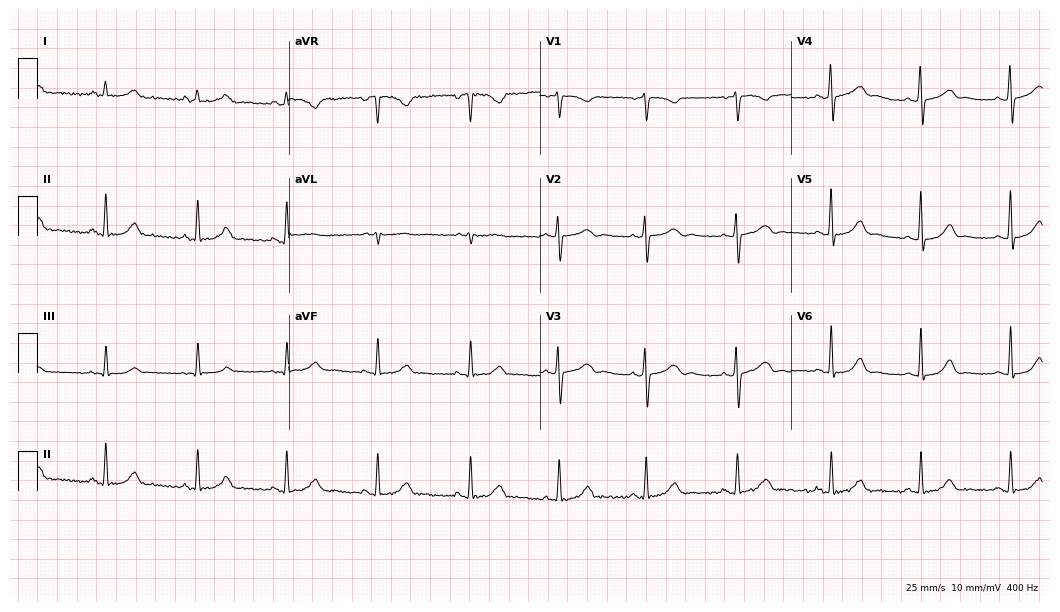
ECG (10.2-second recording at 400 Hz) — a female, 39 years old. Labelled as a normal ECG.